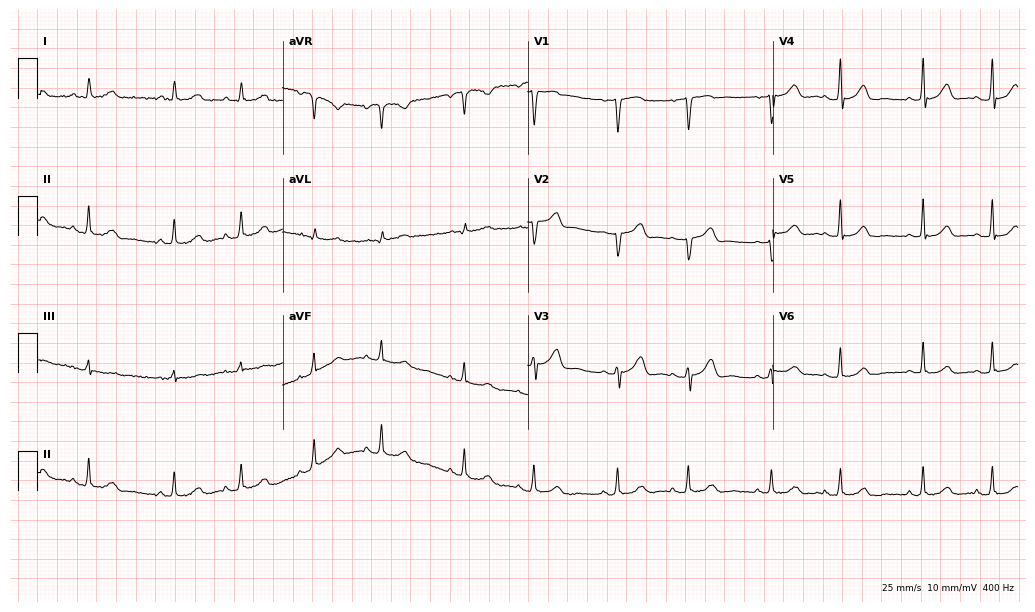
Resting 12-lead electrocardiogram (10-second recording at 400 Hz). Patient: a 68-year-old female. Read as a normal ECG.